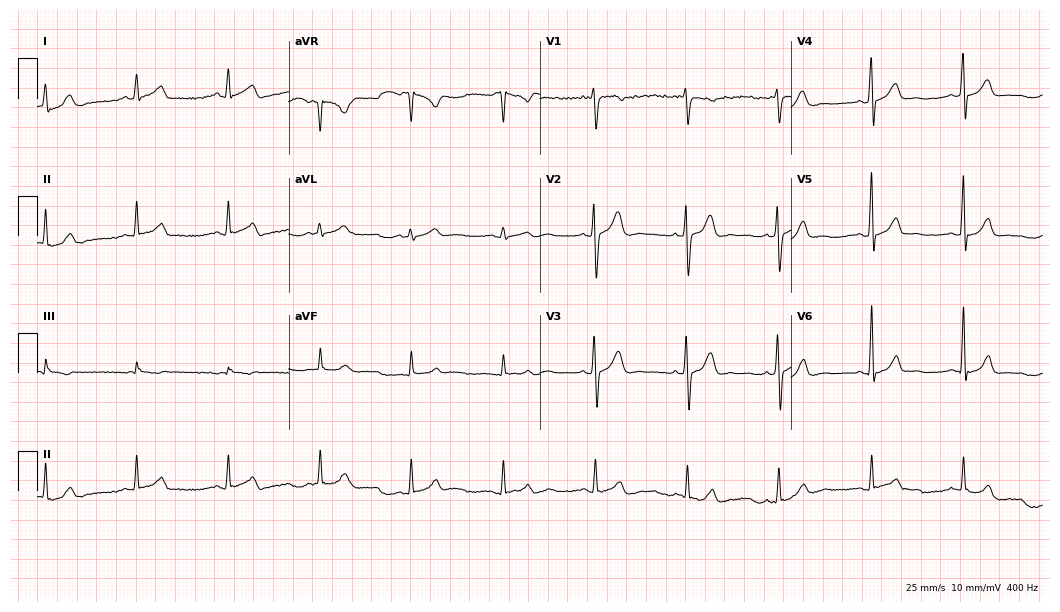
12-lead ECG from a 31-year-old male. Labelled as a normal ECG.